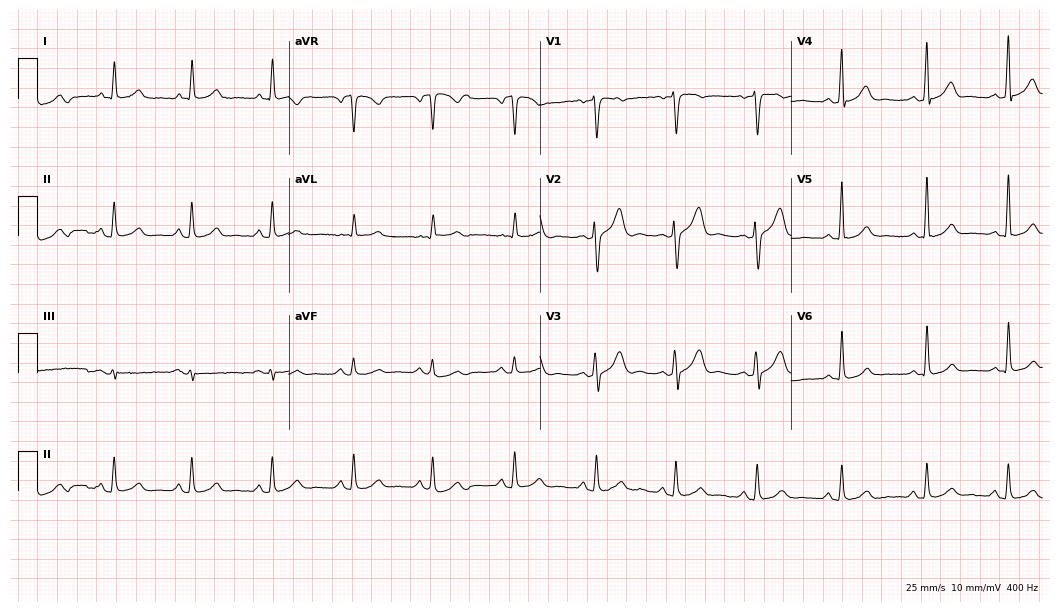
Resting 12-lead electrocardiogram (10.2-second recording at 400 Hz). Patient: a man, 46 years old. Read as a normal ECG.